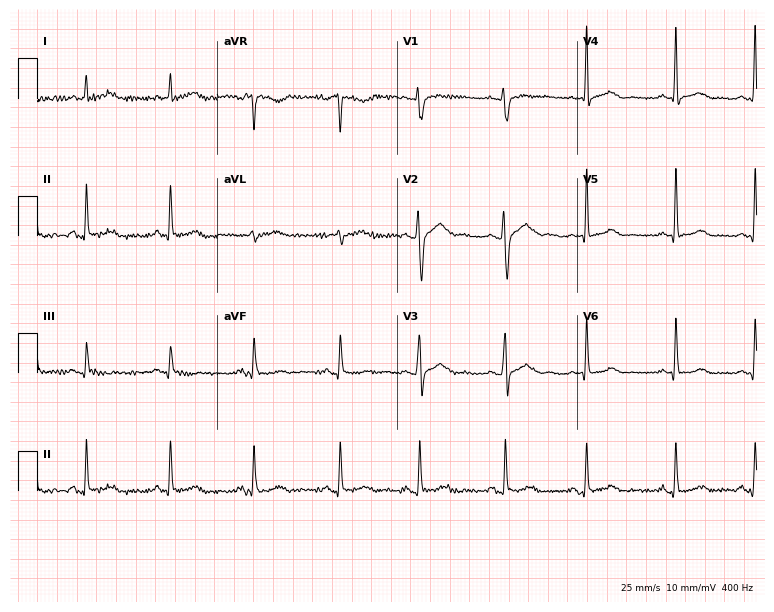
12-lead ECG (7.3-second recording at 400 Hz) from a 30-year-old male. Screened for six findings — first-degree AV block, right bundle branch block, left bundle branch block, sinus bradycardia, atrial fibrillation, sinus tachycardia — none is recorded. Only these six findings were labelled.